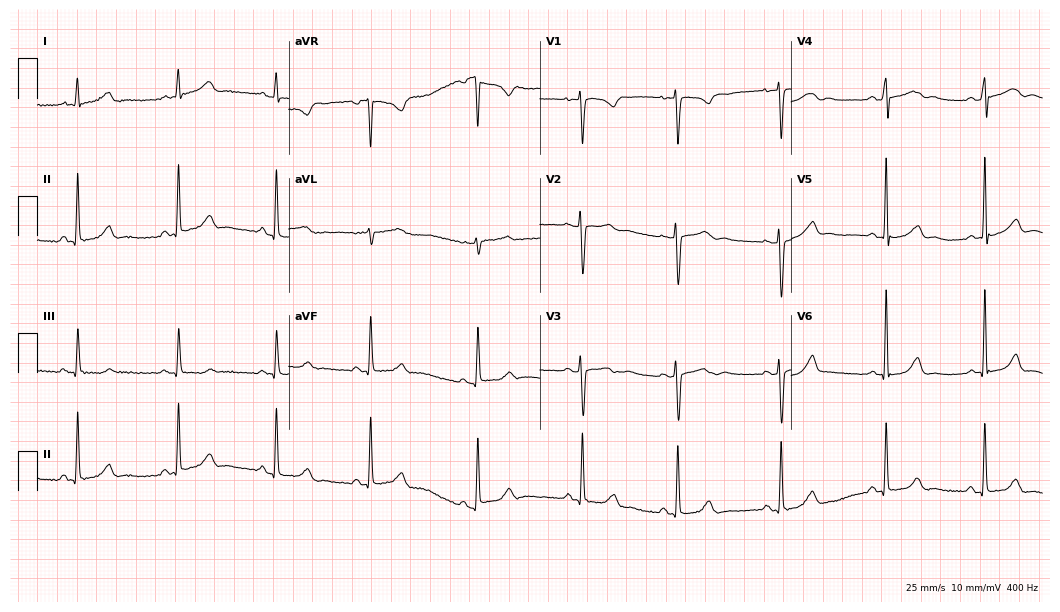
12-lead ECG (10.2-second recording at 400 Hz) from a female patient, 29 years old. Labelled as a normal ECG.